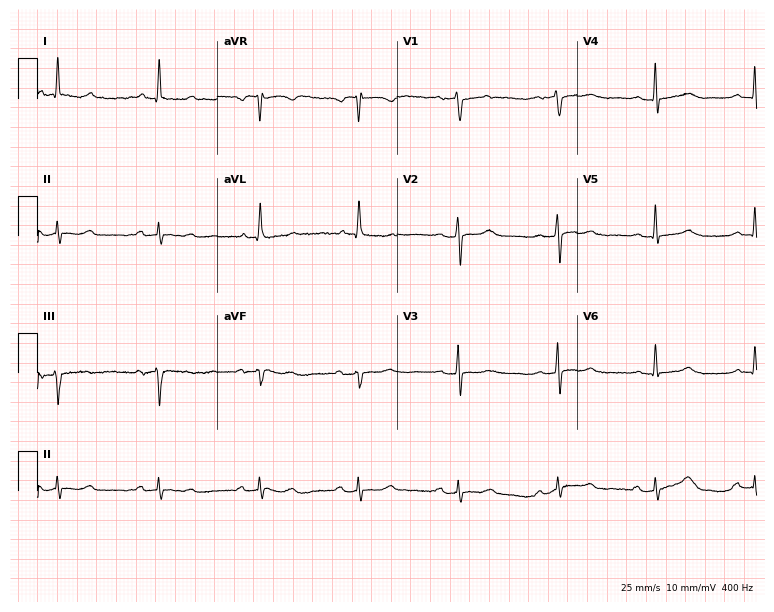
ECG (7.3-second recording at 400 Hz) — a 79-year-old female patient. Findings include first-degree AV block.